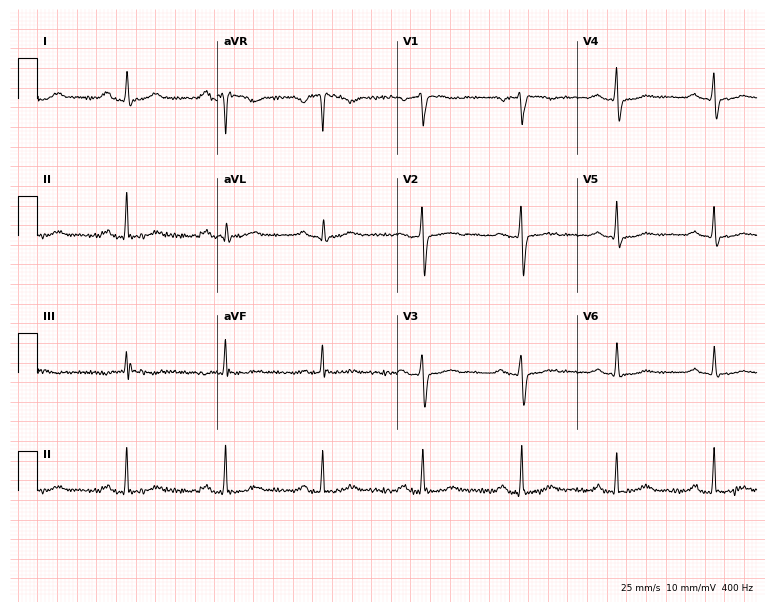
12-lead ECG from a woman, 58 years old. Findings include first-degree AV block.